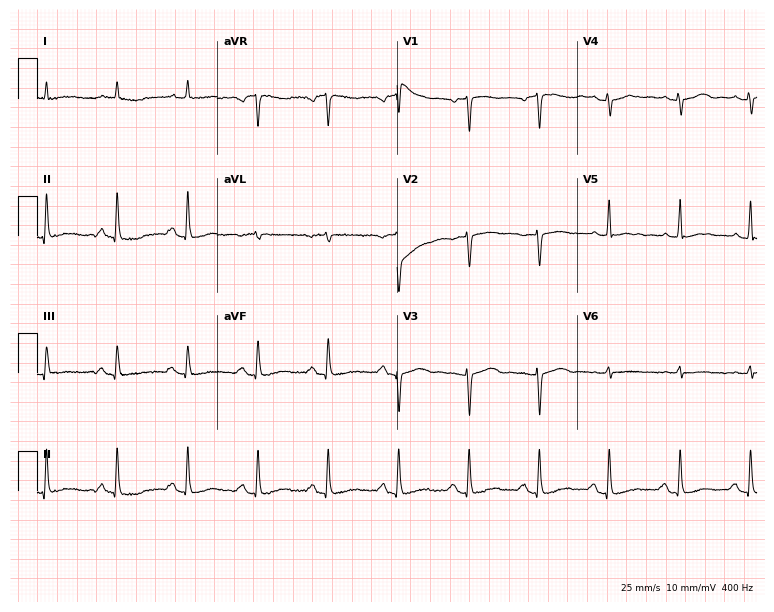
12-lead ECG from a 79-year-old female patient (7.3-second recording at 400 Hz). No first-degree AV block, right bundle branch block, left bundle branch block, sinus bradycardia, atrial fibrillation or sinus tachycardia recorded for this tracing. Findings outside these six are not listed.